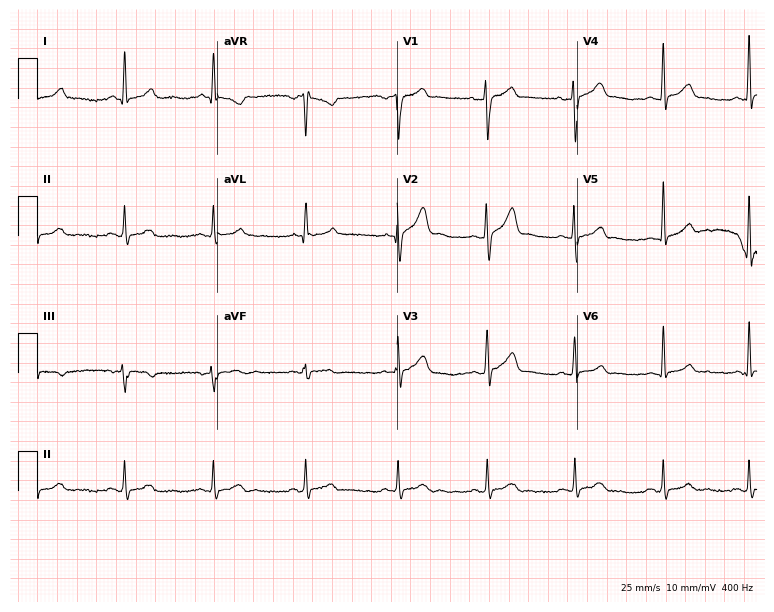
Electrocardiogram (7.3-second recording at 400 Hz), a man, 39 years old. Overall reading on record: normal ECG.